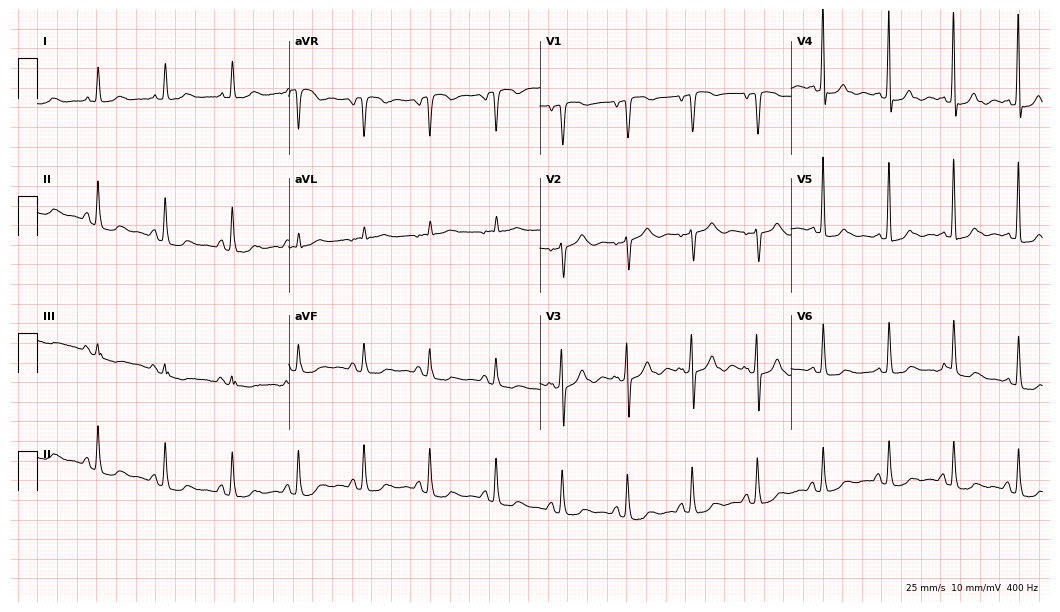
12-lead ECG from a 79-year-old female. Labelled as a normal ECG.